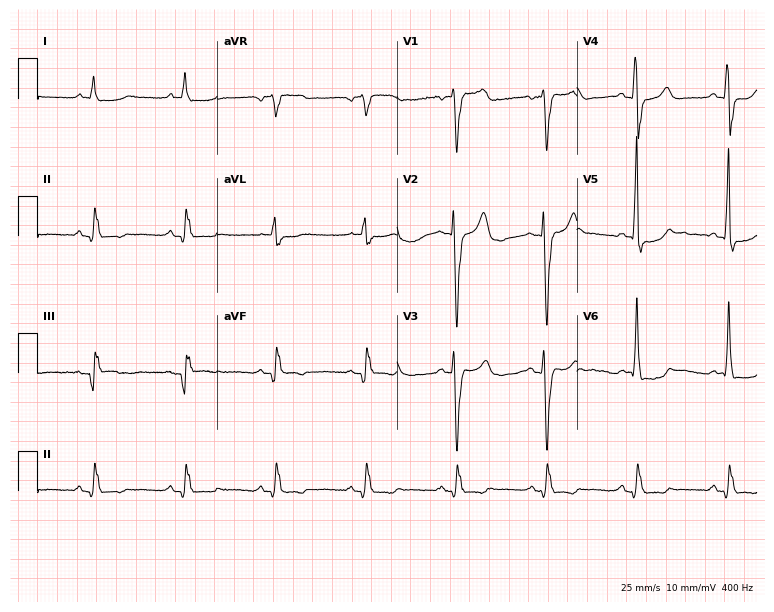
Standard 12-lead ECG recorded from a 78-year-old male. None of these six findings is recorded: first-degree AV block, right bundle branch block (RBBB), left bundle branch block (LBBB), sinus bradycardia, atrial fibrillation (AF), sinus tachycardia. Other findings, if any, are not listed.